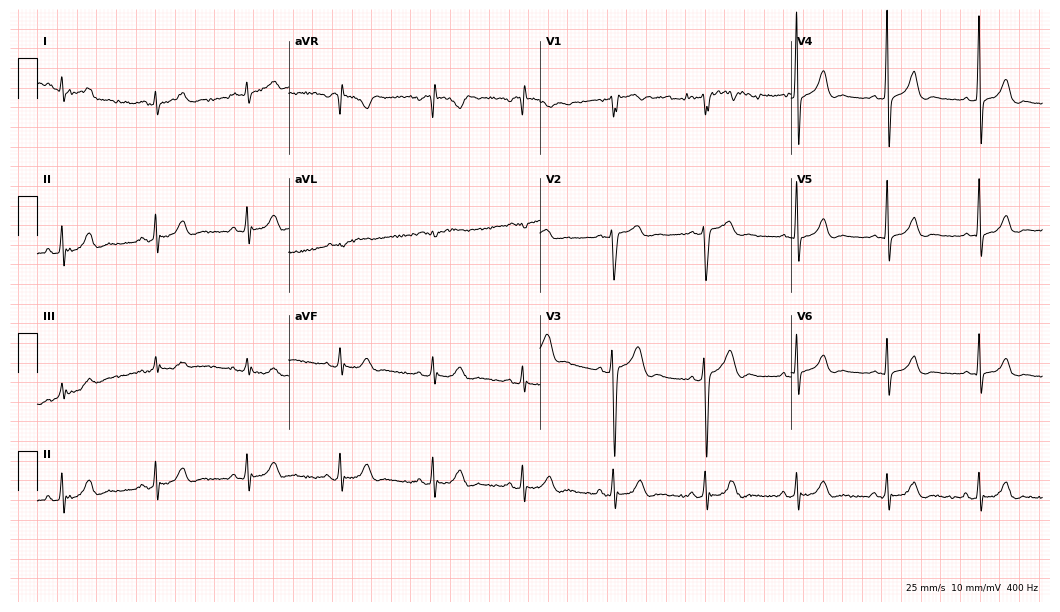
Resting 12-lead electrocardiogram (10.2-second recording at 400 Hz). Patient: a man, 24 years old. Read as a normal ECG.